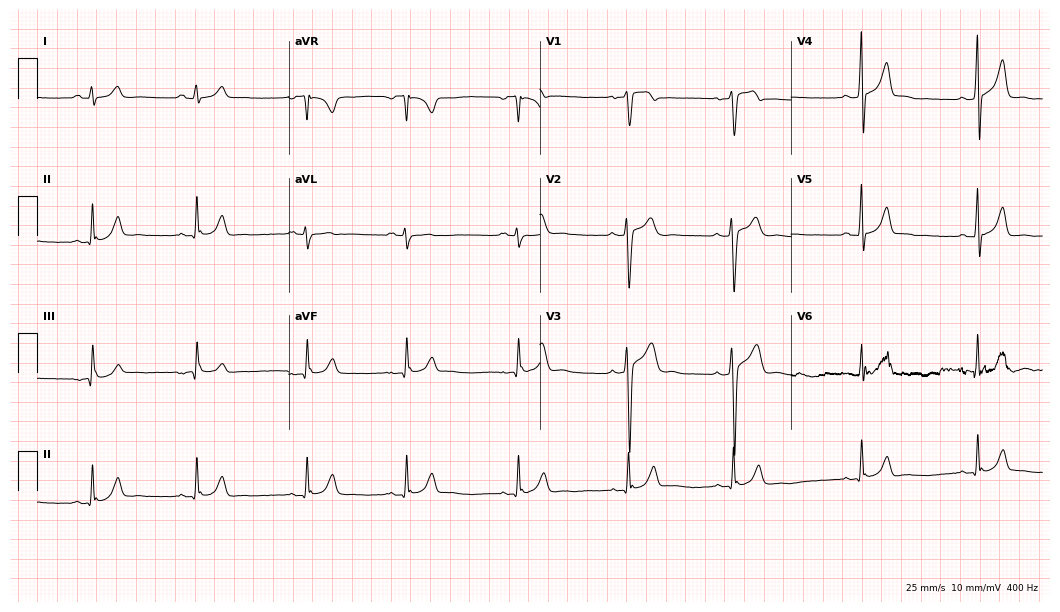
Resting 12-lead electrocardiogram (10.2-second recording at 400 Hz). Patient: a 28-year-old male. Read as a normal ECG.